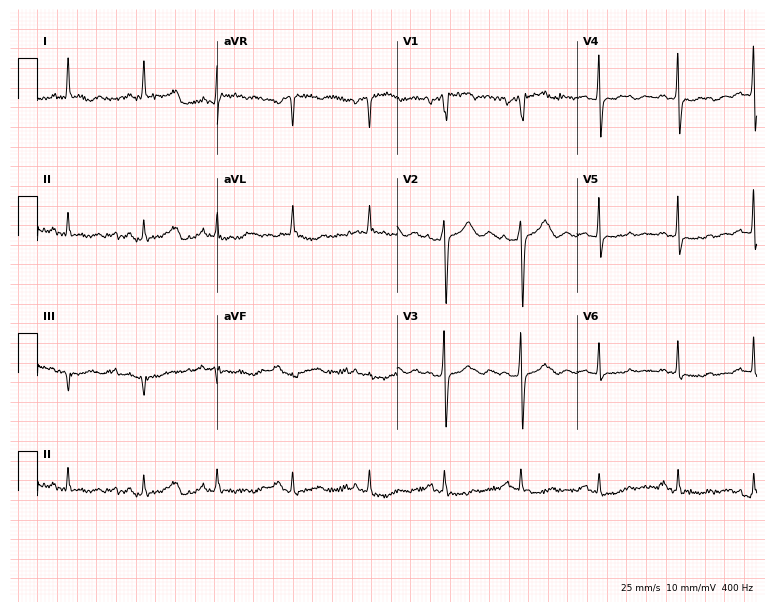
ECG (7.3-second recording at 400 Hz) — a 53-year-old female. Screened for six findings — first-degree AV block, right bundle branch block, left bundle branch block, sinus bradycardia, atrial fibrillation, sinus tachycardia — none is recorded.